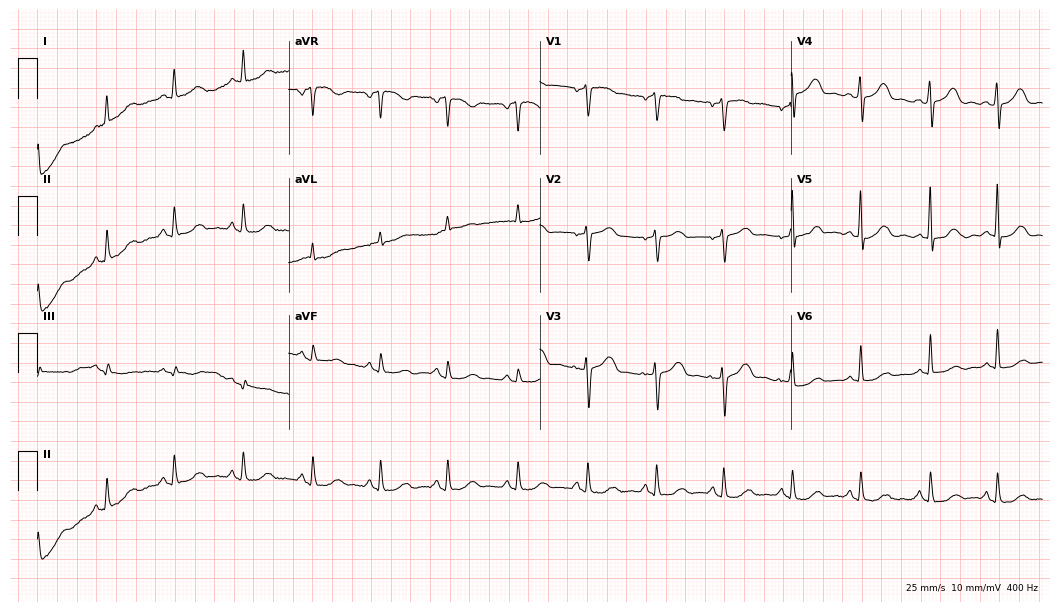
12-lead ECG from a 61-year-old woman. No first-degree AV block, right bundle branch block, left bundle branch block, sinus bradycardia, atrial fibrillation or sinus tachycardia recorded for this tracing.